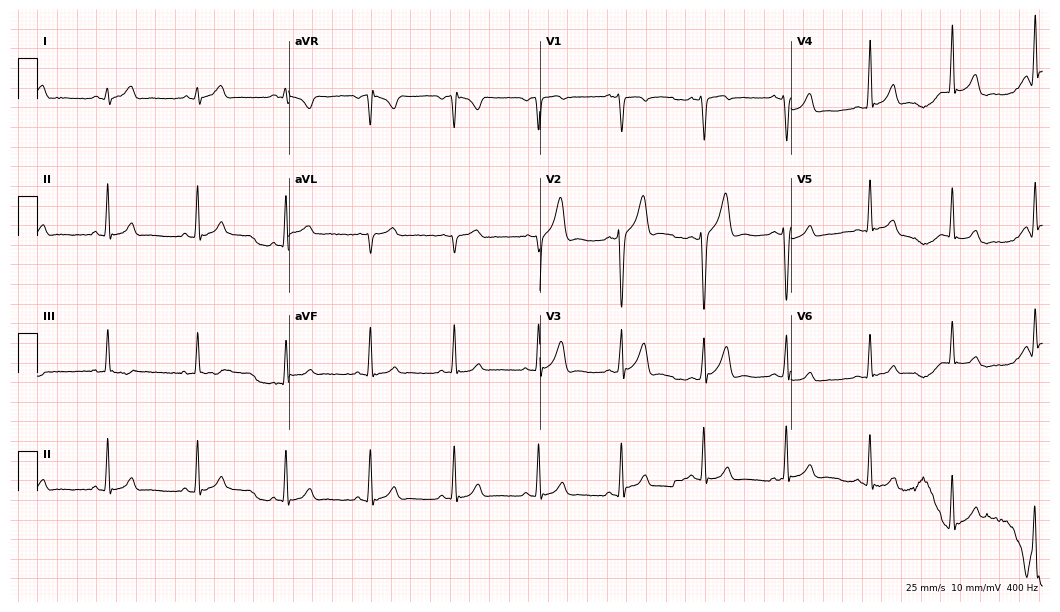
12-lead ECG (10.2-second recording at 400 Hz) from a 23-year-old male patient. Labelled as a normal ECG.